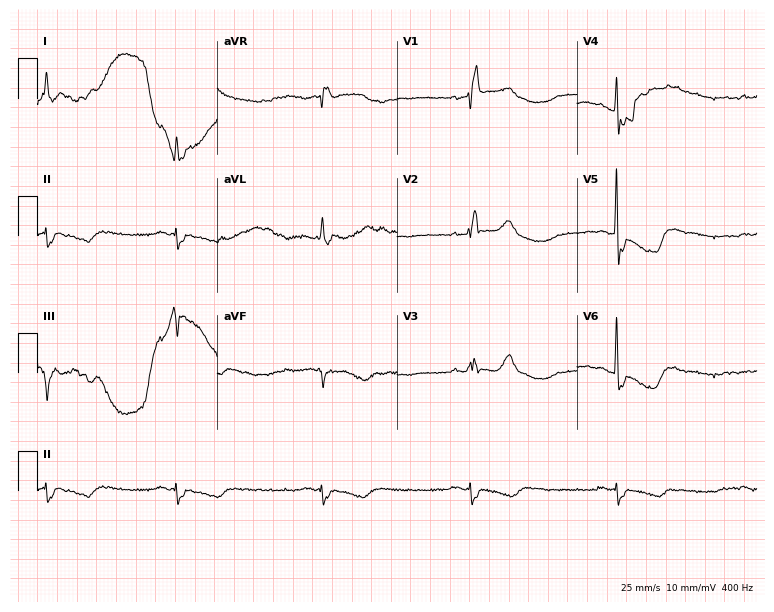
Electrocardiogram (7.3-second recording at 400 Hz), a male patient, 78 years old. Interpretation includes right bundle branch block, sinus bradycardia (a sinus rate of 50 beats per minute or less).